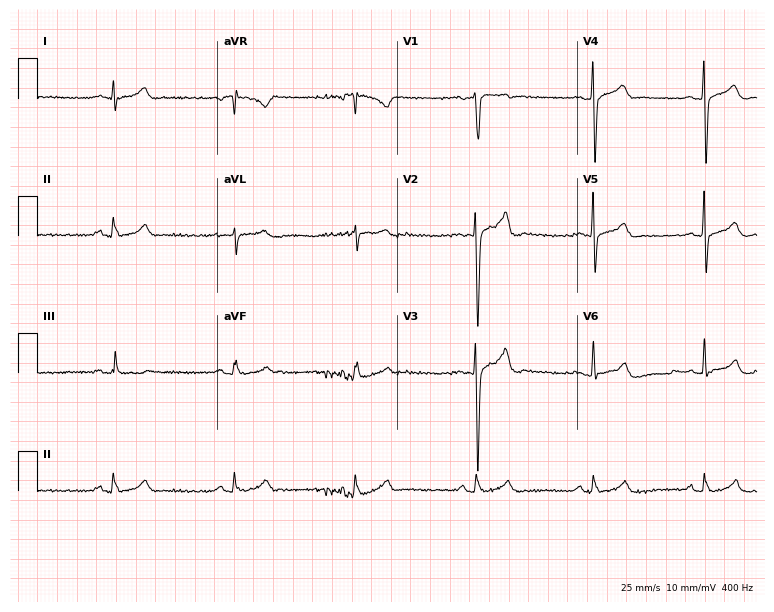
Standard 12-lead ECG recorded from a male patient, 34 years old (7.3-second recording at 400 Hz). Read as a normal ECG.